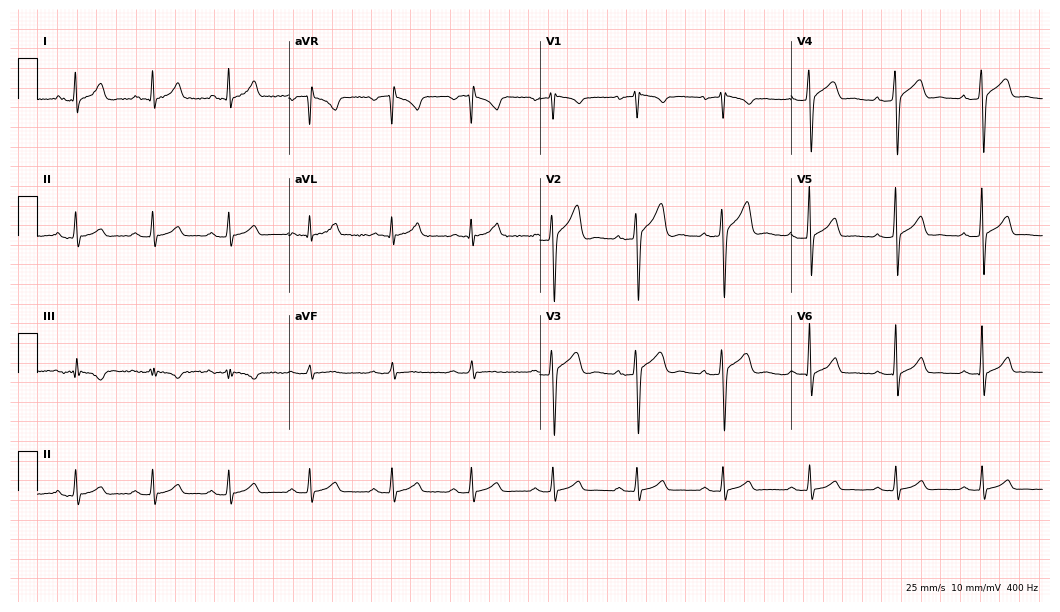
Resting 12-lead electrocardiogram (10.2-second recording at 400 Hz). Patient: a male, 30 years old. None of these six findings is recorded: first-degree AV block, right bundle branch block, left bundle branch block, sinus bradycardia, atrial fibrillation, sinus tachycardia.